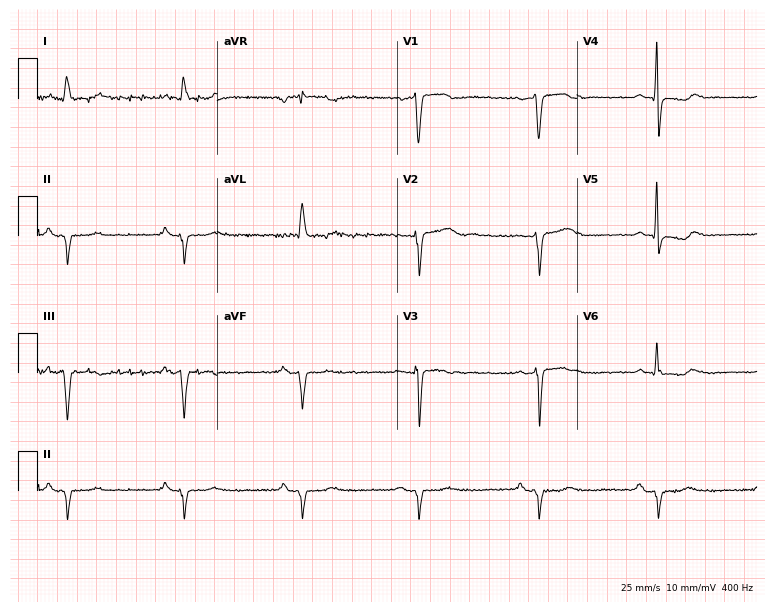
Standard 12-lead ECG recorded from an 84-year-old female (7.3-second recording at 400 Hz). None of these six findings is recorded: first-degree AV block, right bundle branch block (RBBB), left bundle branch block (LBBB), sinus bradycardia, atrial fibrillation (AF), sinus tachycardia.